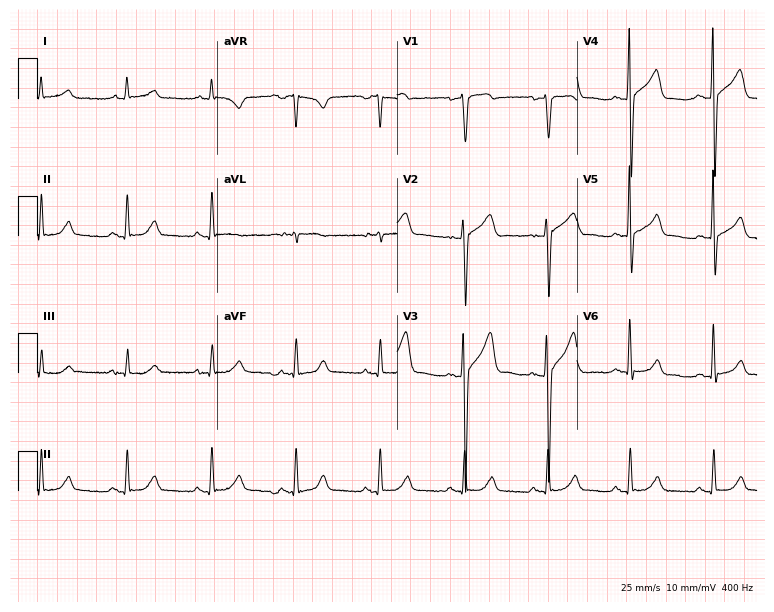
ECG — a 61-year-old male patient. Labelled as a normal ECG.